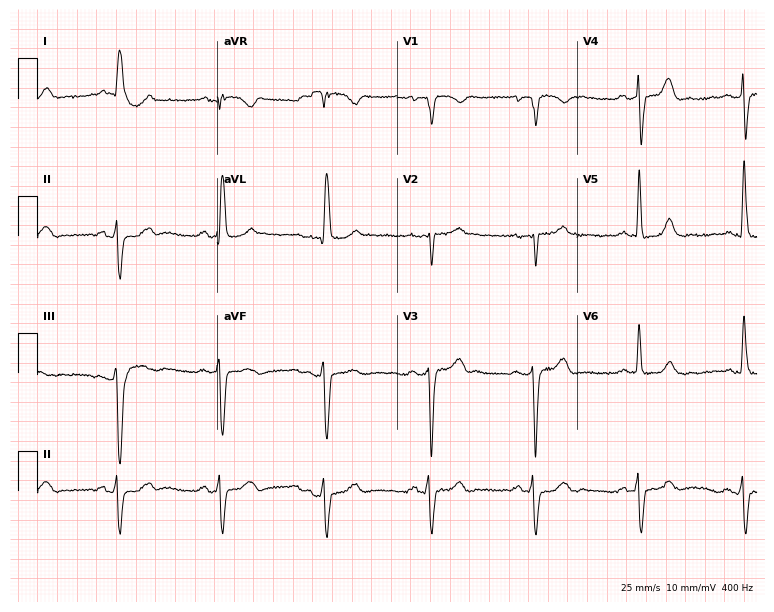
ECG — a male patient, 77 years old. Screened for six findings — first-degree AV block, right bundle branch block (RBBB), left bundle branch block (LBBB), sinus bradycardia, atrial fibrillation (AF), sinus tachycardia — none is recorded.